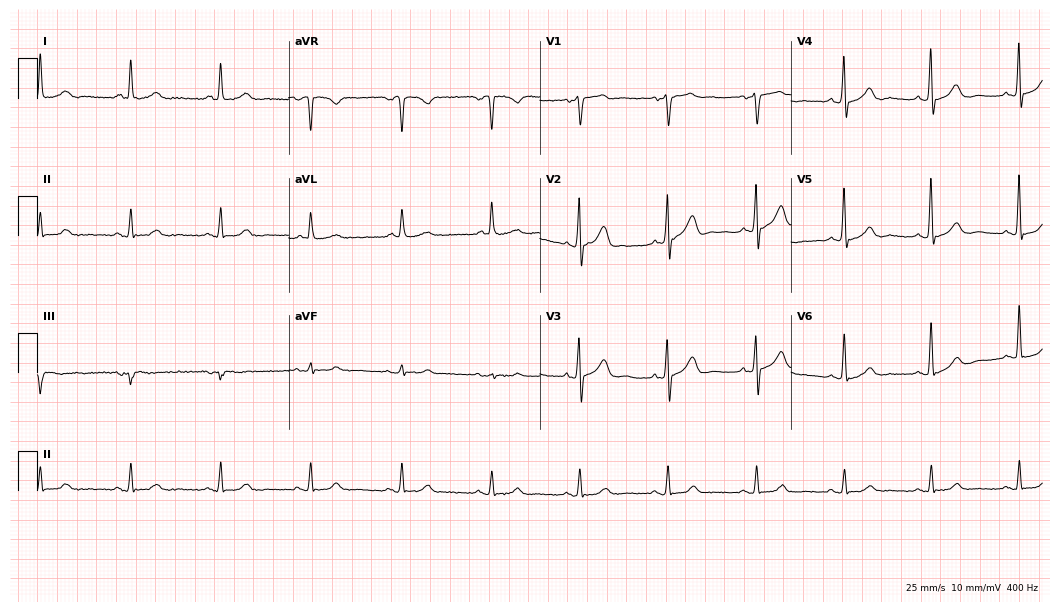
12-lead ECG from a man, 77 years old (10.2-second recording at 400 Hz). Recorded interpretation: within normal limits.